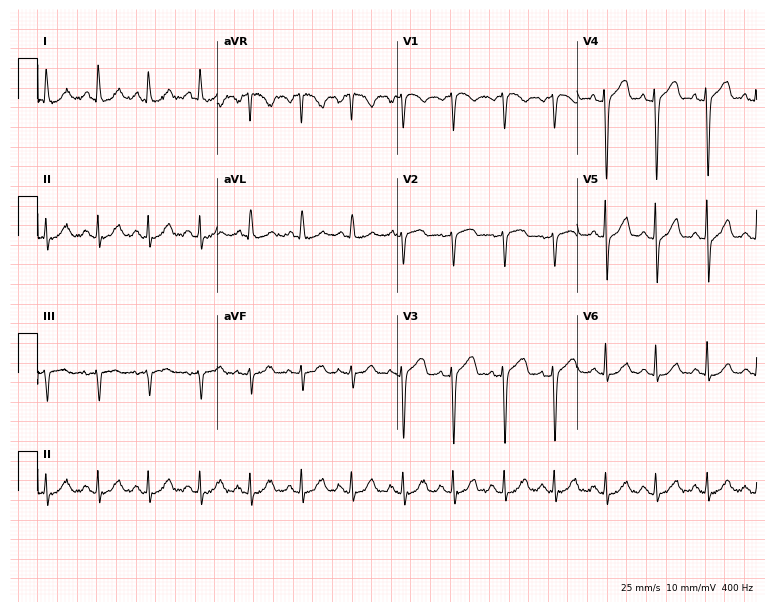
Electrocardiogram (7.3-second recording at 400 Hz), a 74-year-old female patient. Interpretation includes sinus tachycardia (a sinus rate of 100 beats per minute or more).